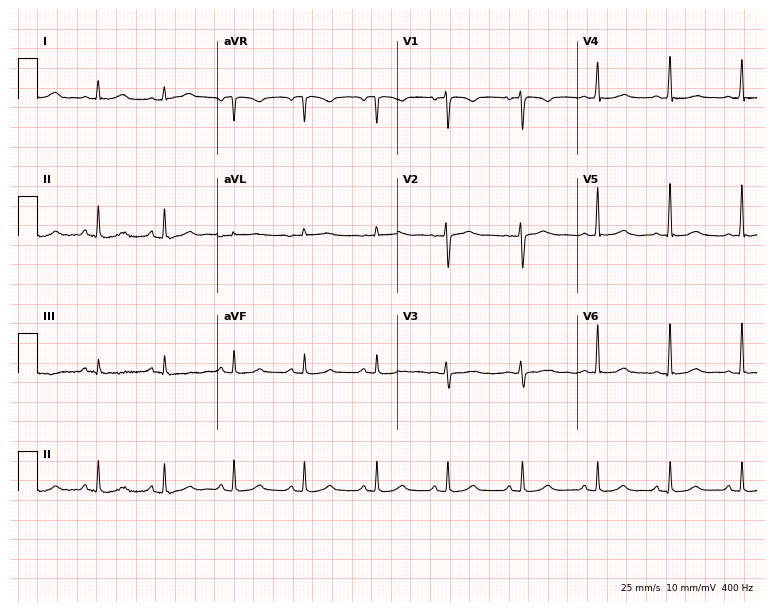
Electrocardiogram (7.3-second recording at 400 Hz), a female, 43 years old. Of the six screened findings (first-degree AV block, right bundle branch block, left bundle branch block, sinus bradycardia, atrial fibrillation, sinus tachycardia), none is recorded. Other findings, if any, are not listed.